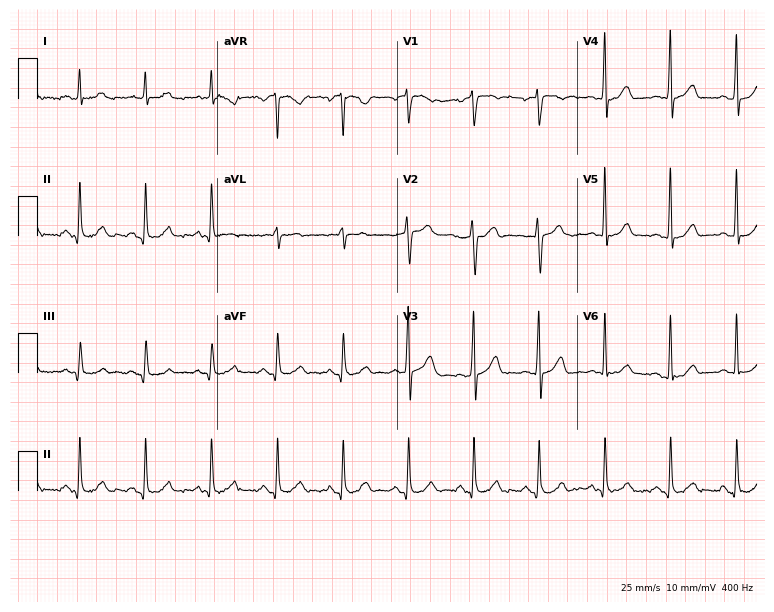
Electrocardiogram (7.3-second recording at 400 Hz), a man, 49 years old. Overall reading on record: normal ECG.